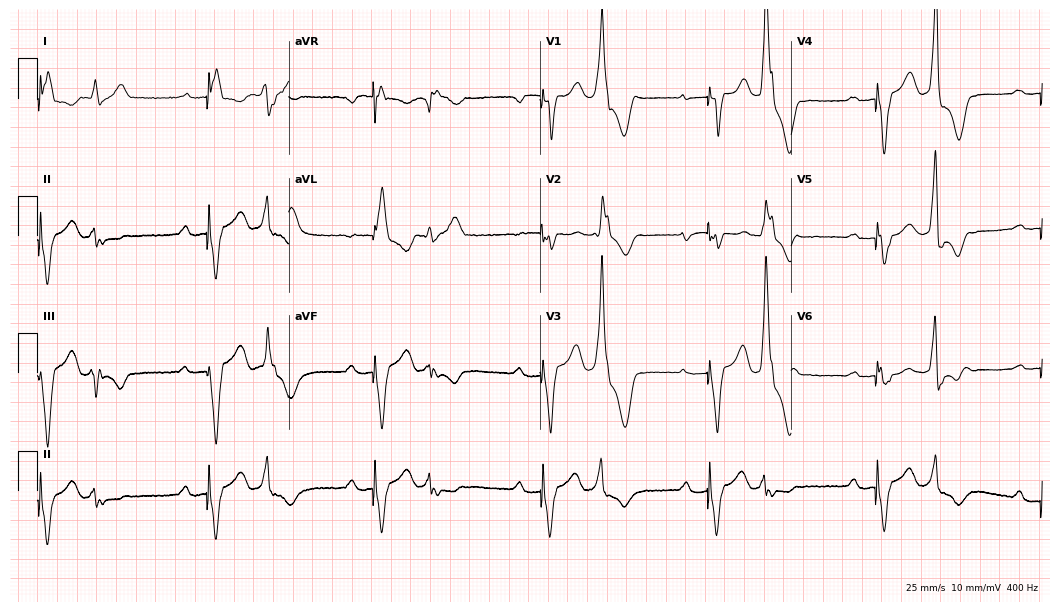
12-lead ECG from a 53-year-old female patient. No first-degree AV block, right bundle branch block, left bundle branch block, sinus bradycardia, atrial fibrillation or sinus tachycardia recorded for this tracing.